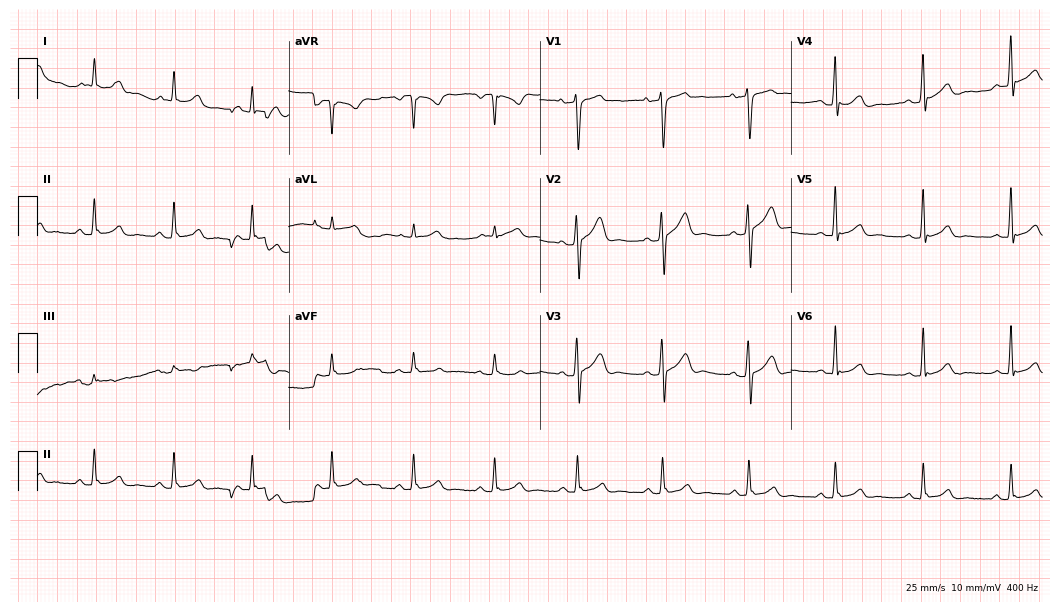
Standard 12-lead ECG recorded from a 31-year-old male (10.2-second recording at 400 Hz). Read as a normal ECG.